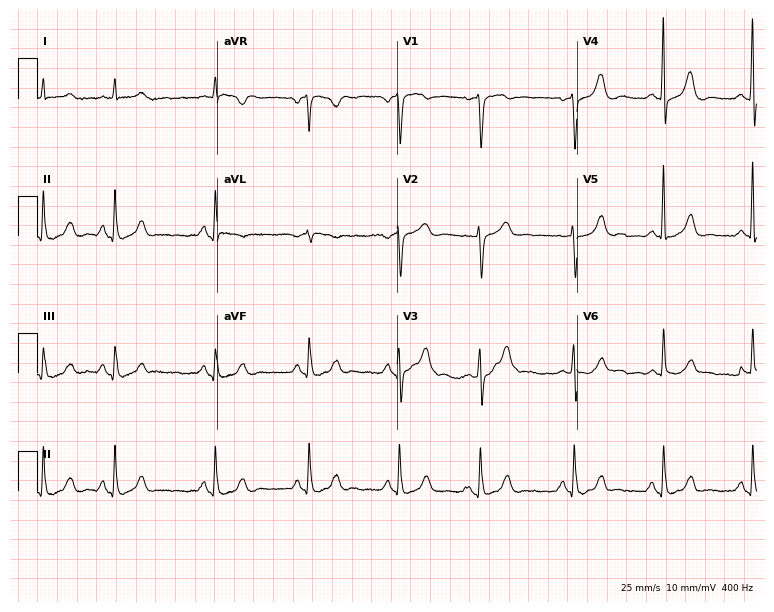
12-lead ECG from a 63-year-old female patient. Recorded interpretation: within normal limits.